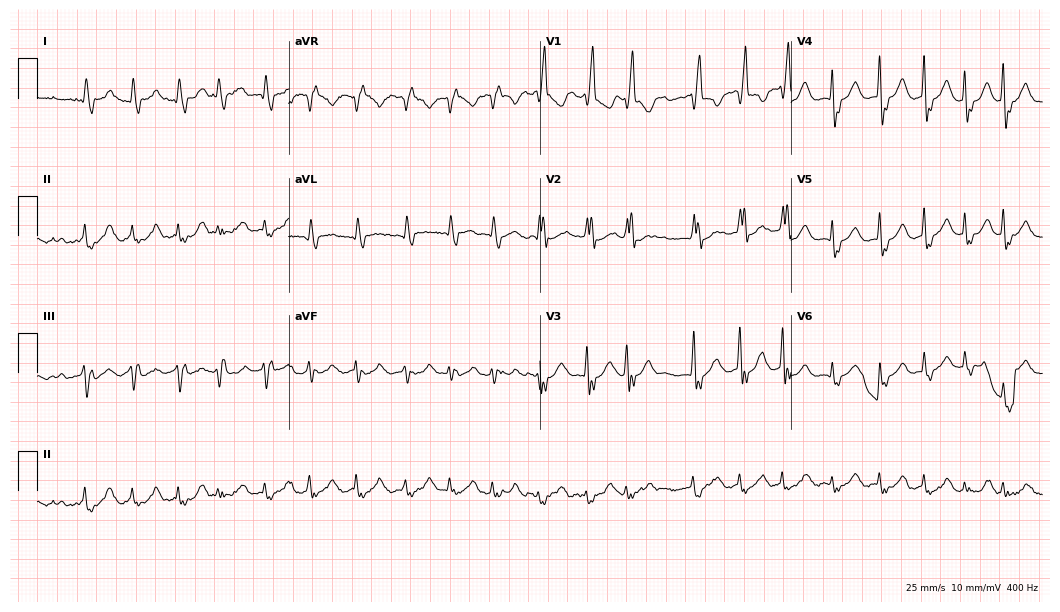
12-lead ECG from an 81-year-old woman. No first-degree AV block, right bundle branch block (RBBB), left bundle branch block (LBBB), sinus bradycardia, atrial fibrillation (AF) or sinus tachycardia recorded for this tracing. Findings outside these six are not listed.